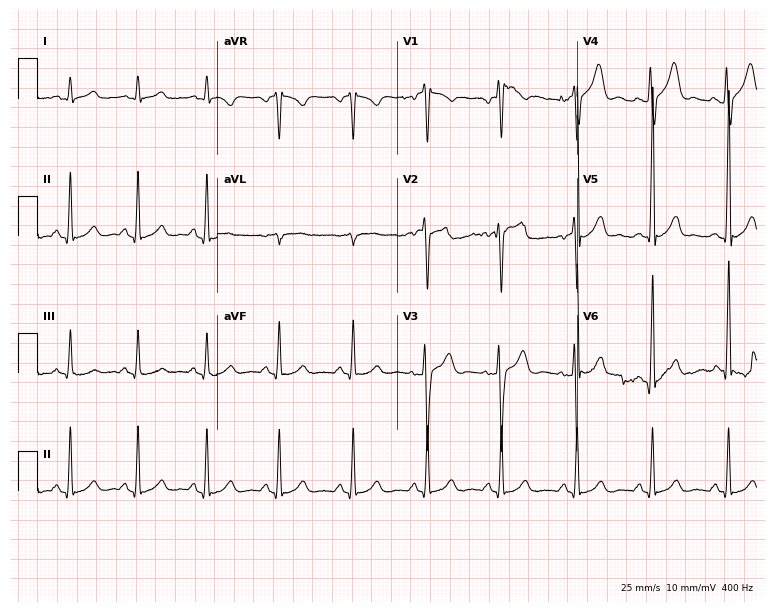
Electrocardiogram (7.3-second recording at 400 Hz), a 33-year-old man. Overall reading on record: normal ECG.